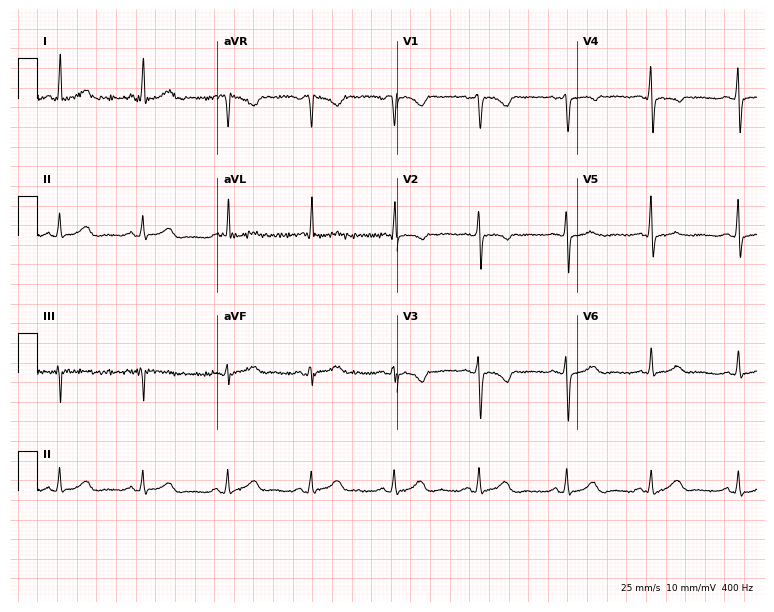
Resting 12-lead electrocardiogram. Patient: a 52-year-old female. None of these six findings is recorded: first-degree AV block, right bundle branch block (RBBB), left bundle branch block (LBBB), sinus bradycardia, atrial fibrillation (AF), sinus tachycardia. Only these six findings were labelled.